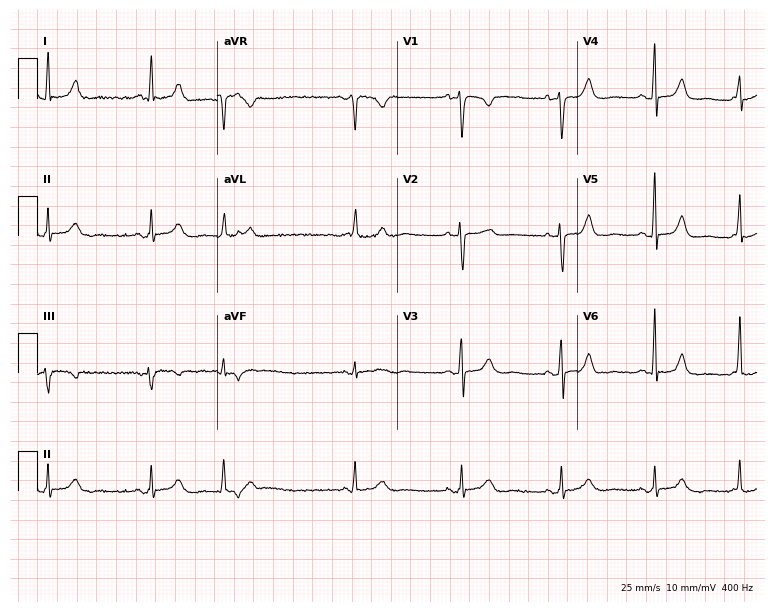
Standard 12-lead ECG recorded from a 68-year-old woman (7.3-second recording at 400 Hz). None of these six findings is recorded: first-degree AV block, right bundle branch block, left bundle branch block, sinus bradycardia, atrial fibrillation, sinus tachycardia. Only these six findings were labelled.